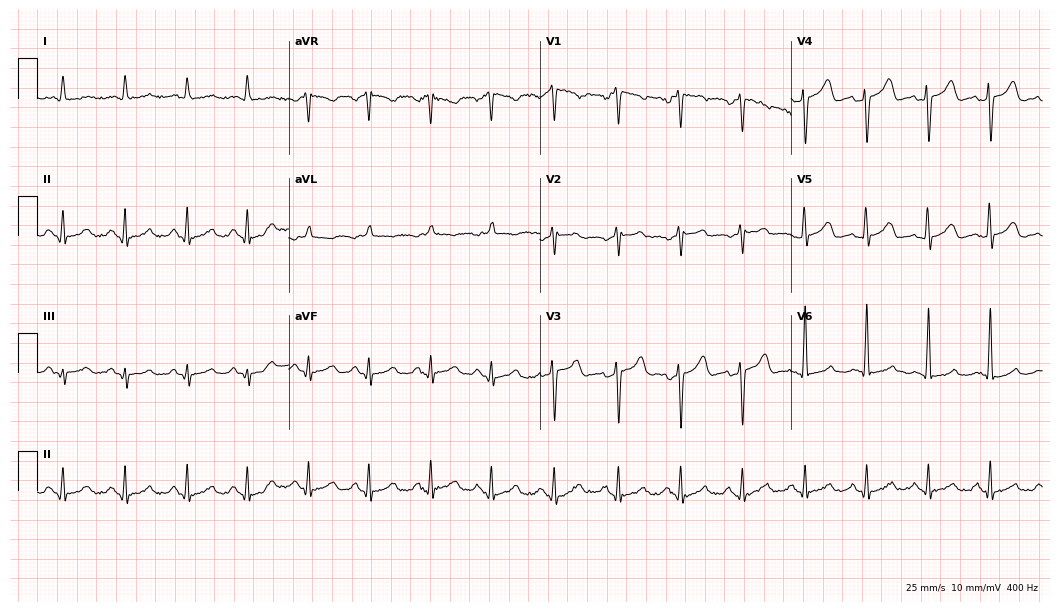
12-lead ECG from a 62-year-old female. No first-degree AV block, right bundle branch block (RBBB), left bundle branch block (LBBB), sinus bradycardia, atrial fibrillation (AF) or sinus tachycardia recorded for this tracing.